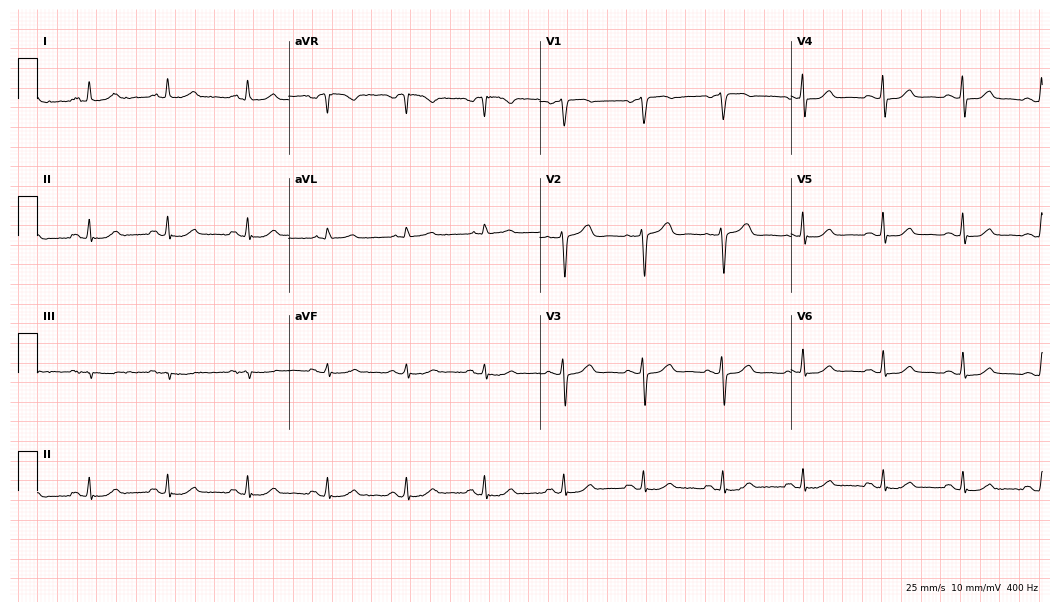
Standard 12-lead ECG recorded from a 76-year-old female patient (10.2-second recording at 400 Hz). Read as a normal ECG.